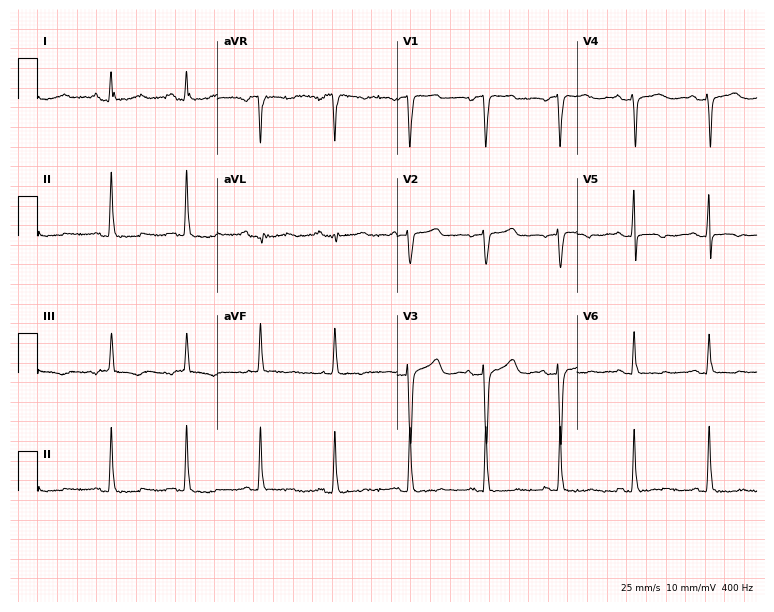
12-lead ECG (7.3-second recording at 400 Hz) from a female patient, 78 years old. Screened for six findings — first-degree AV block, right bundle branch block, left bundle branch block, sinus bradycardia, atrial fibrillation, sinus tachycardia — none is recorded. Other findings, if any, are not listed.